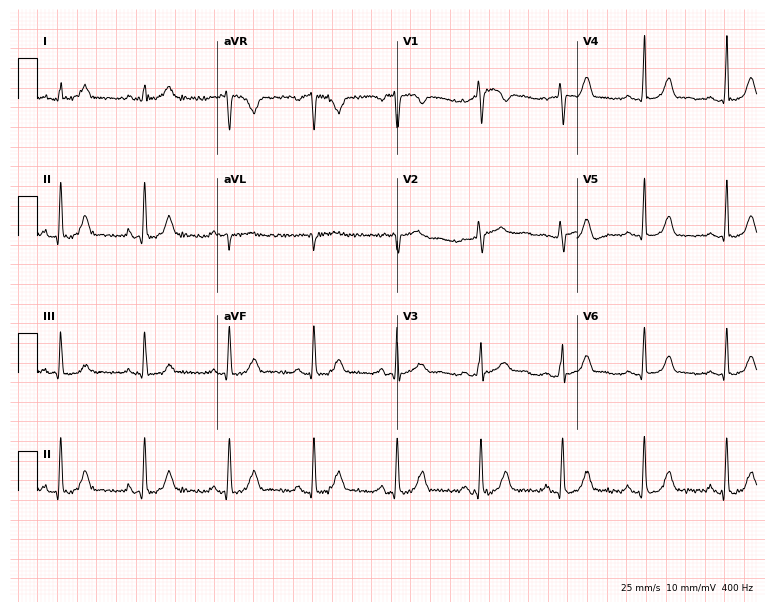
12-lead ECG from a female, 37 years old. Recorded interpretation: within normal limits.